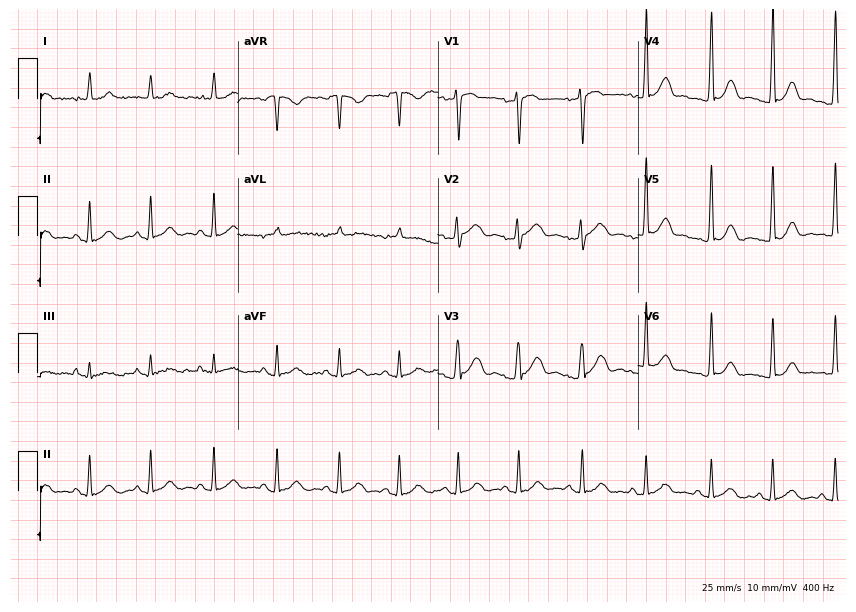
12-lead ECG from a female patient, 30 years old. Recorded interpretation: within normal limits.